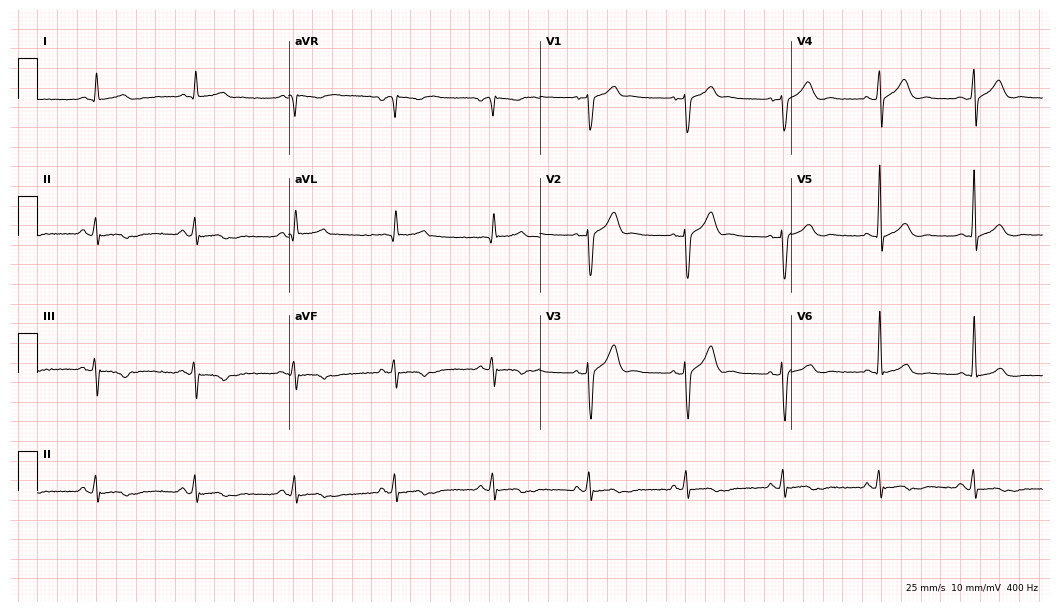
Resting 12-lead electrocardiogram (10.2-second recording at 400 Hz). Patient: a man, 65 years old. None of these six findings is recorded: first-degree AV block, right bundle branch block, left bundle branch block, sinus bradycardia, atrial fibrillation, sinus tachycardia. Findings outside these six are not listed.